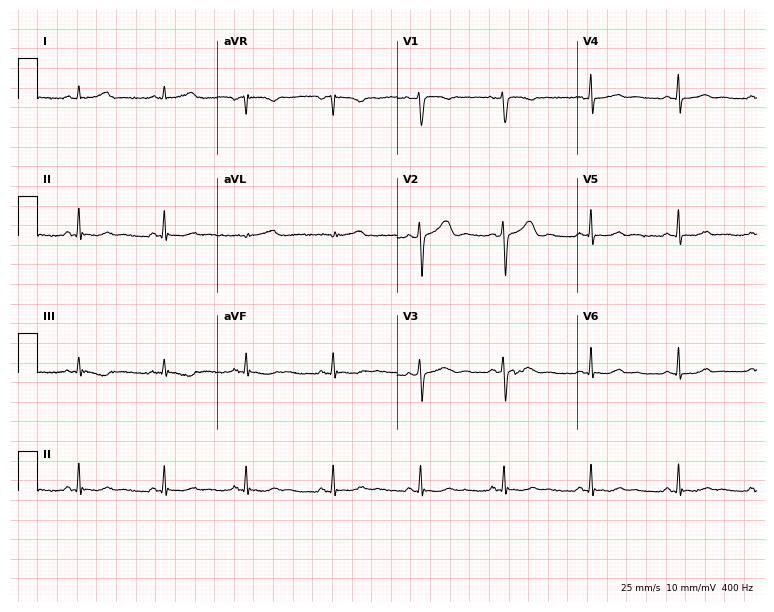
Resting 12-lead electrocardiogram (7.3-second recording at 400 Hz). Patient: a woman, 51 years old. None of these six findings is recorded: first-degree AV block, right bundle branch block, left bundle branch block, sinus bradycardia, atrial fibrillation, sinus tachycardia.